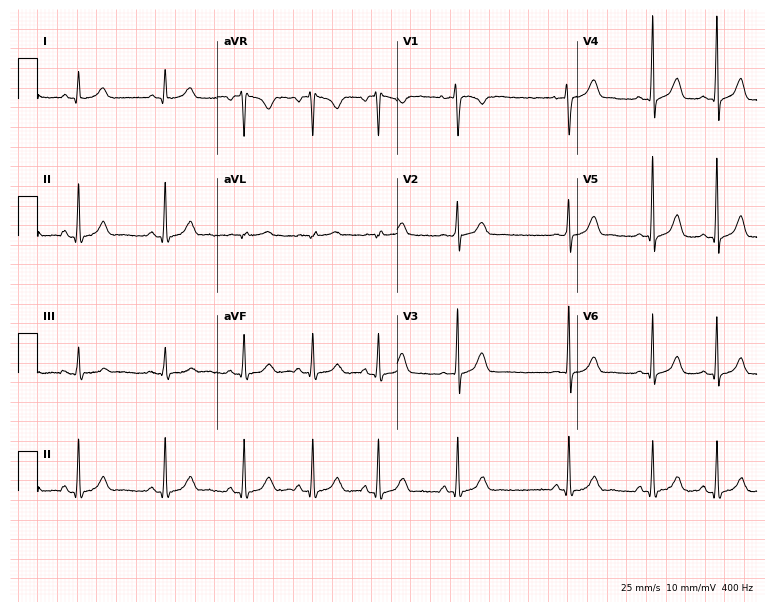
ECG — a 20-year-old female patient. Screened for six findings — first-degree AV block, right bundle branch block, left bundle branch block, sinus bradycardia, atrial fibrillation, sinus tachycardia — none is recorded.